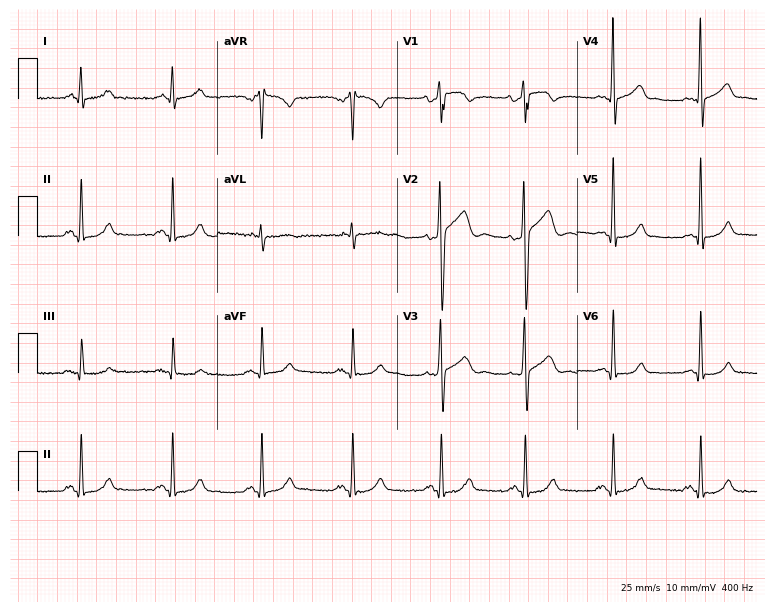
ECG (7.3-second recording at 400 Hz) — a 41-year-old male patient. Screened for six findings — first-degree AV block, right bundle branch block (RBBB), left bundle branch block (LBBB), sinus bradycardia, atrial fibrillation (AF), sinus tachycardia — none is recorded.